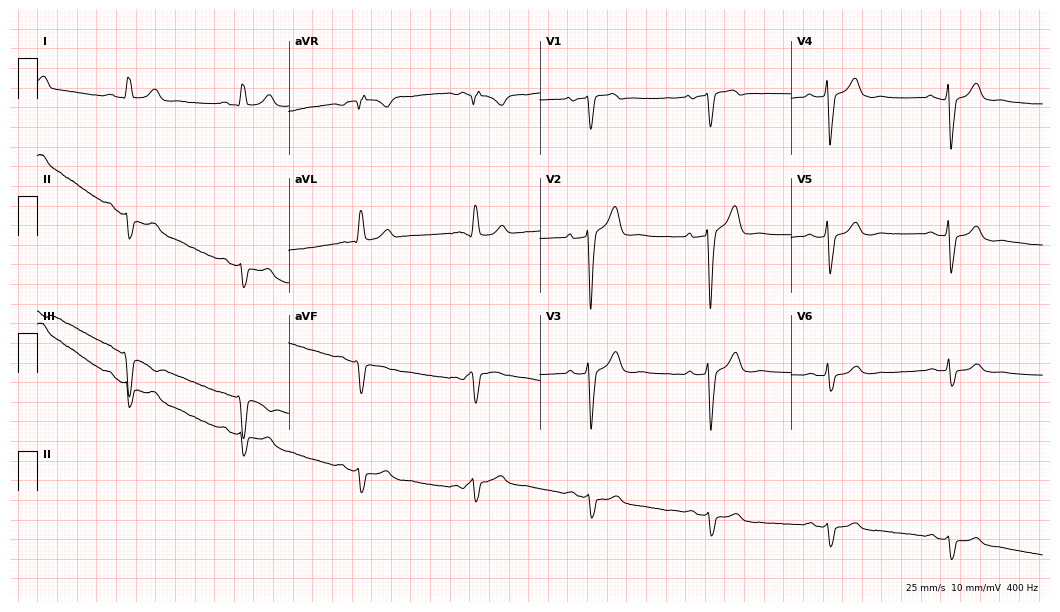
Standard 12-lead ECG recorded from a man, 78 years old (10.2-second recording at 400 Hz). None of these six findings is recorded: first-degree AV block, right bundle branch block, left bundle branch block, sinus bradycardia, atrial fibrillation, sinus tachycardia. Findings outside these six are not listed.